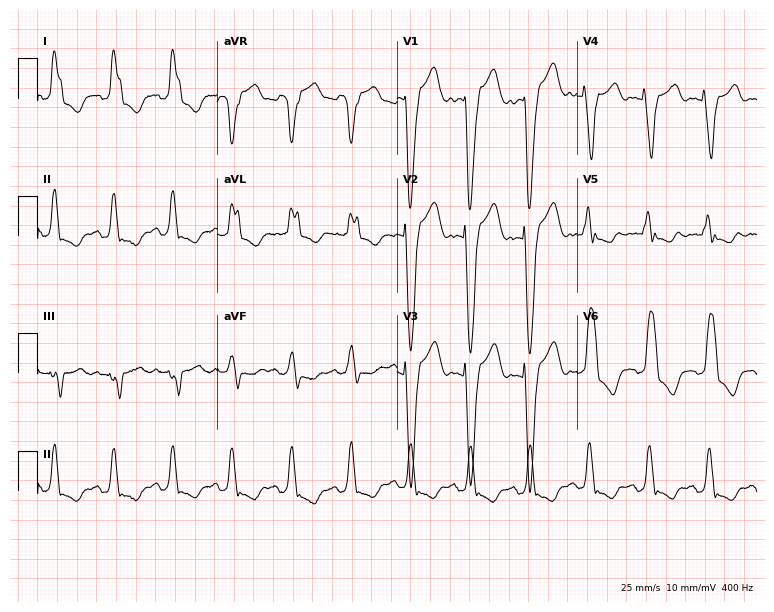
12-lead ECG from a woman, 76 years old. Shows left bundle branch block.